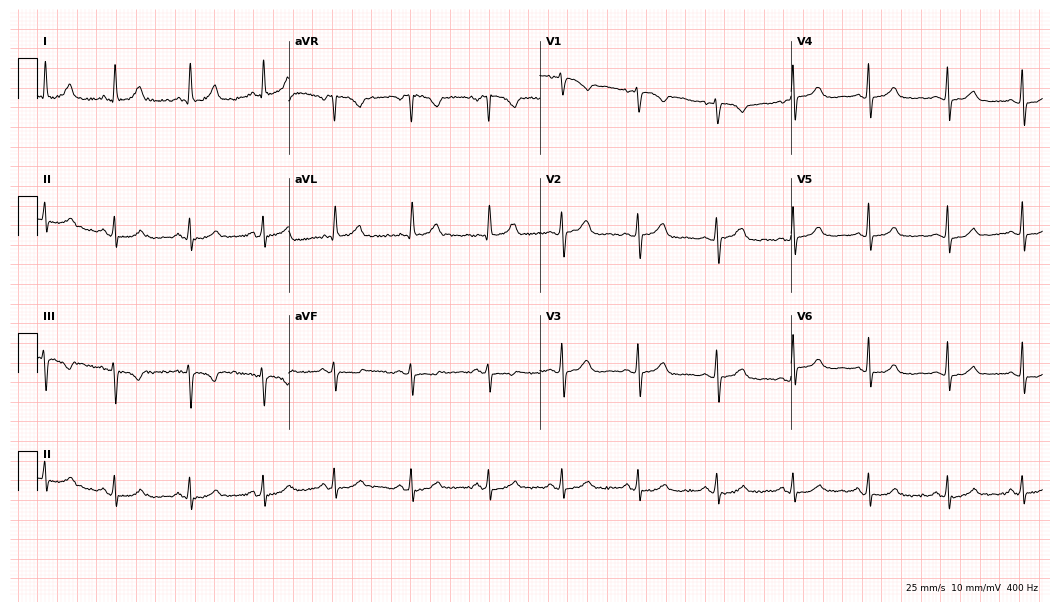
12-lead ECG (10.2-second recording at 400 Hz) from a woman, 66 years old. Labelled as a normal ECG.